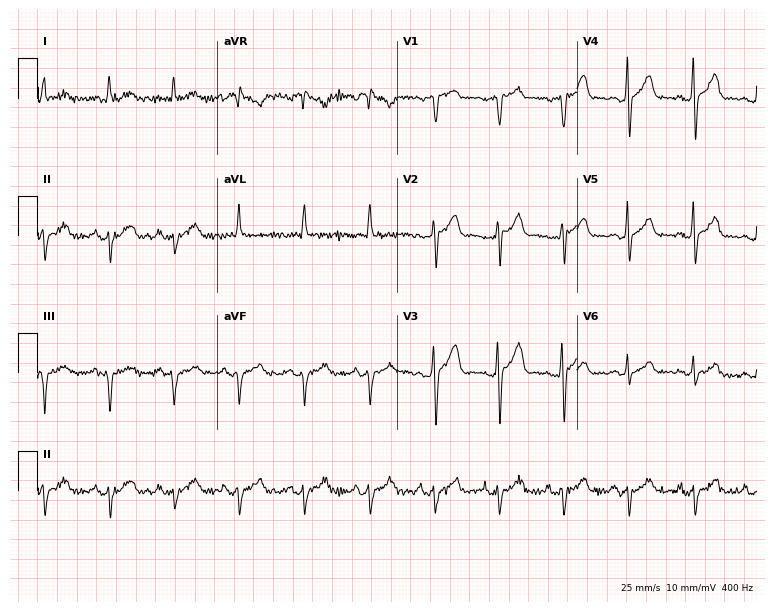
Electrocardiogram (7.3-second recording at 400 Hz), a male, 49 years old. Of the six screened findings (first-degree AV block, right bundle branch block, left bundle branch block, sinus bradycardia, atrial fibrillation, sinus tachycardia), none is recorded. Findings outside these six are not listed.